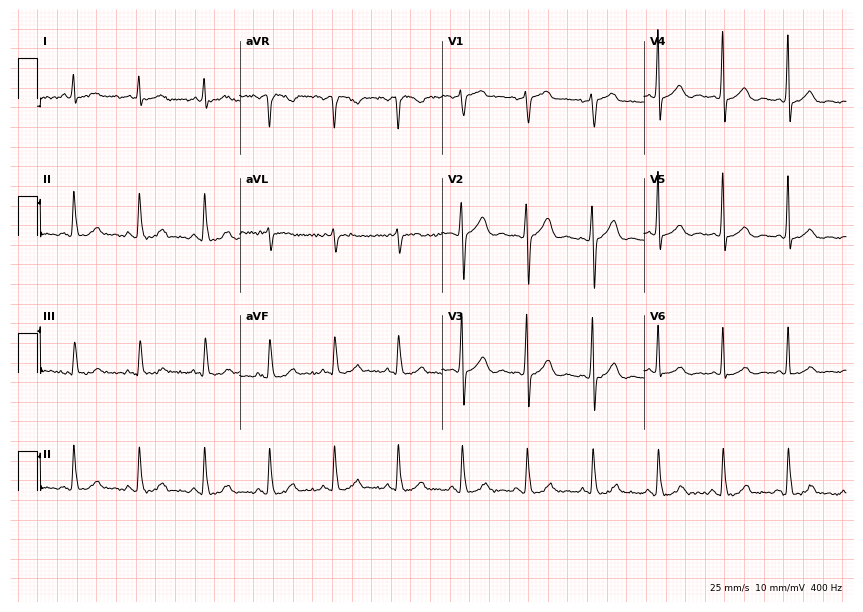
12-lead ECG (8.2-second recording at 400 Hz) from a woman, 70 years old. Labelled as a normal ECG.